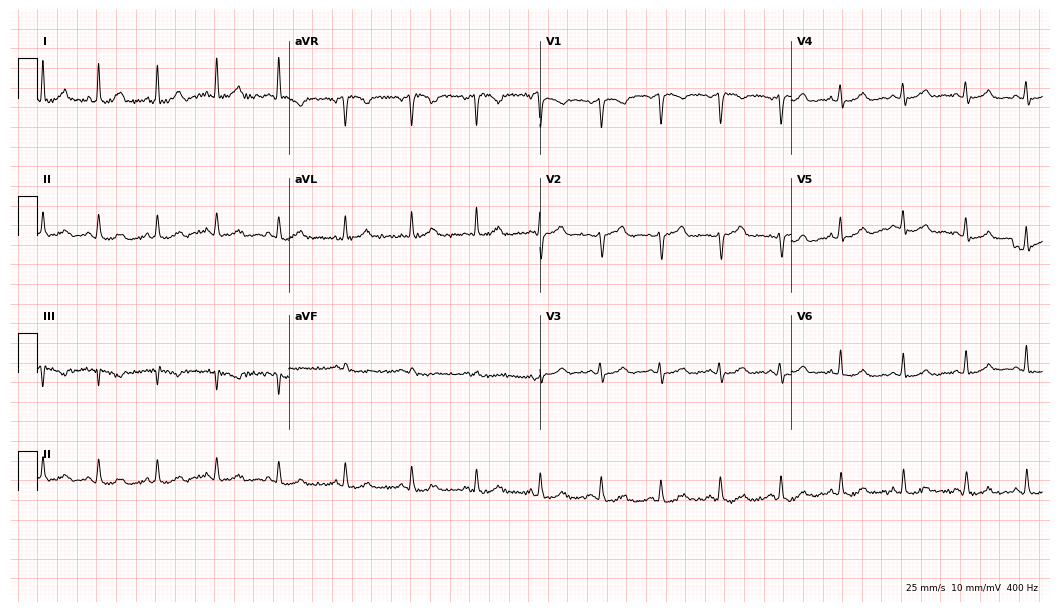
ECG — a 52-year-old woman. Labelled as a normal ECG.